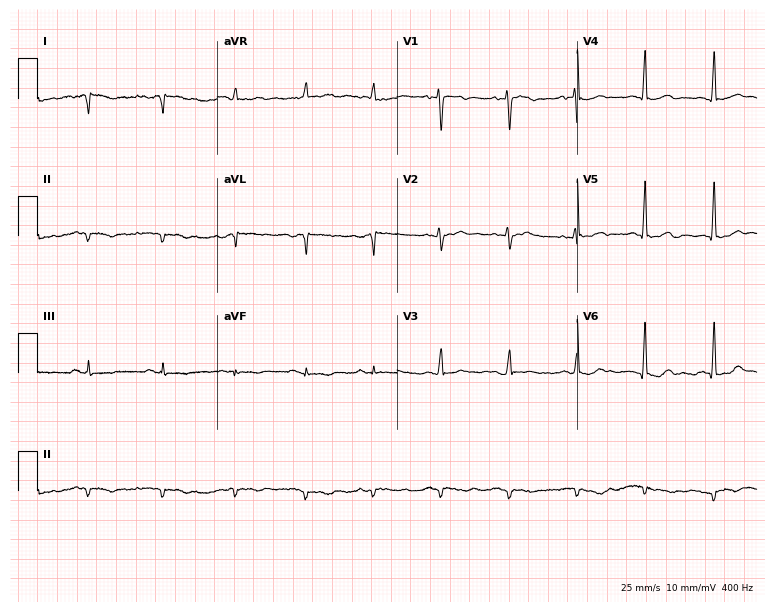
ECG (7.3-second recording at 400 Hz) — a female, 45 years old. Screened for six findings — first-degree AV block, right bundle branch block, left bundle branch block, sinus bradycardia, atrial fibrillation, sinus tachycardia — none is recorded. Other findings, if any, are not listed.